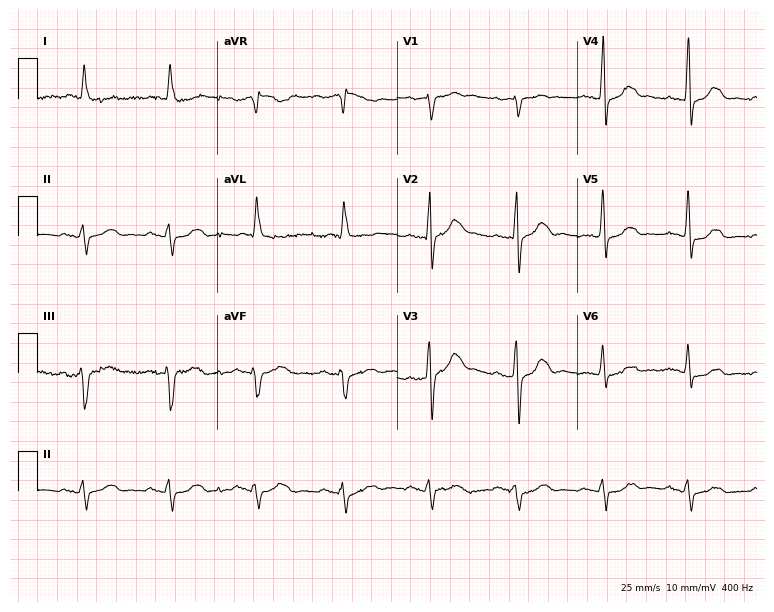
Standard 12-lead ECG recorded from a man, 83 years old (7.3-second recording at 400 Hz). None of these six findings is recorded: first-degree AV block, right bundle branch block (RBBB), left bundle branch block (LBBB), sinus bradycardia, atrial fibrillation (AF), sinus tachycardia.